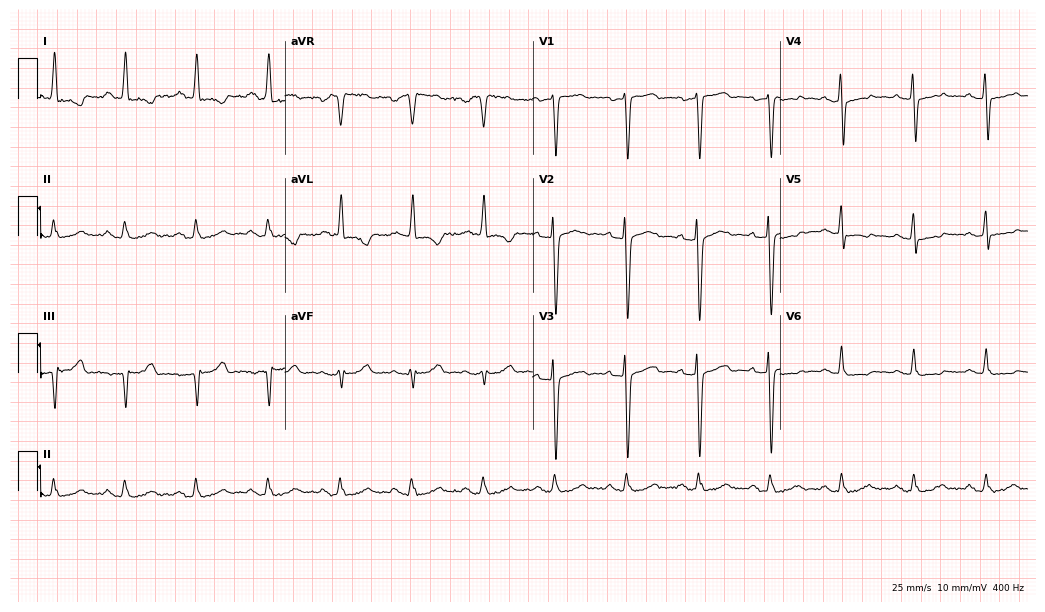
Electrocardiogram (10.1-second recording at 400 Hz), a 71-year-old female patient. Of the six screened findings (first-degree AV block, right bundle branch block, left bundle branch block, sinus bradycardia, atrial fibrillation, sinus tachycardia), none is recorded.